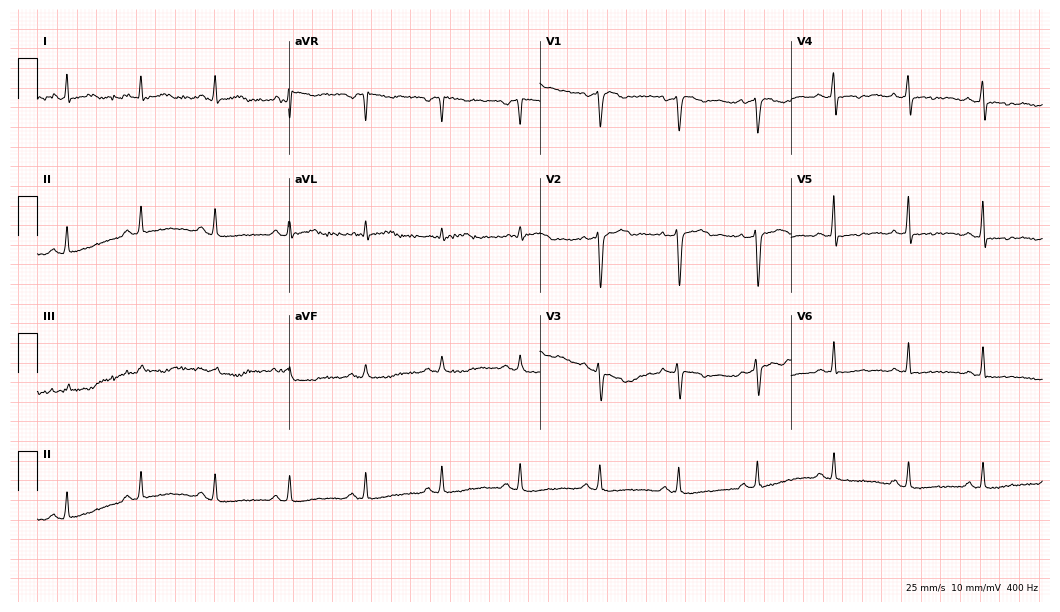
12-lead ECG from a 45-year-old male. No first-degree AV block, right bundle branch block, left bundle branch block, sinus bradycardia, atrial fibrillation or sinus tachycardia recorded for this tracing.